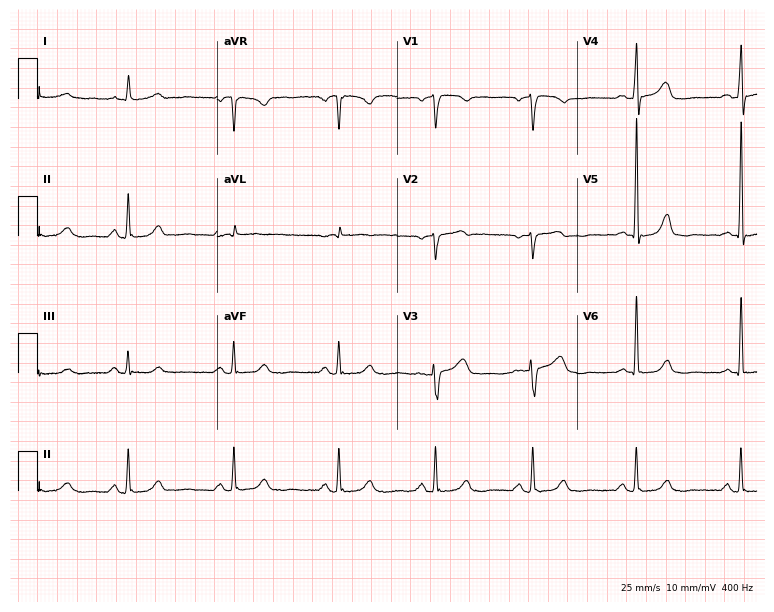
12-lead ECG from a woman, 74 years old (7.3-second recording at 400 Hz). Recorded interpretation: within normal limits.